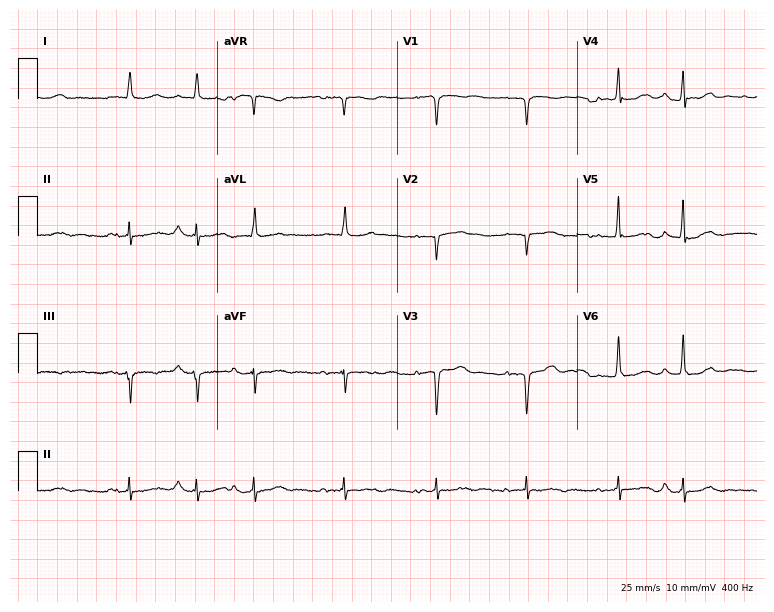
Resting 12-lead electrocardiogram. Patient: a man, 85 years old. Read as a normal ECG.